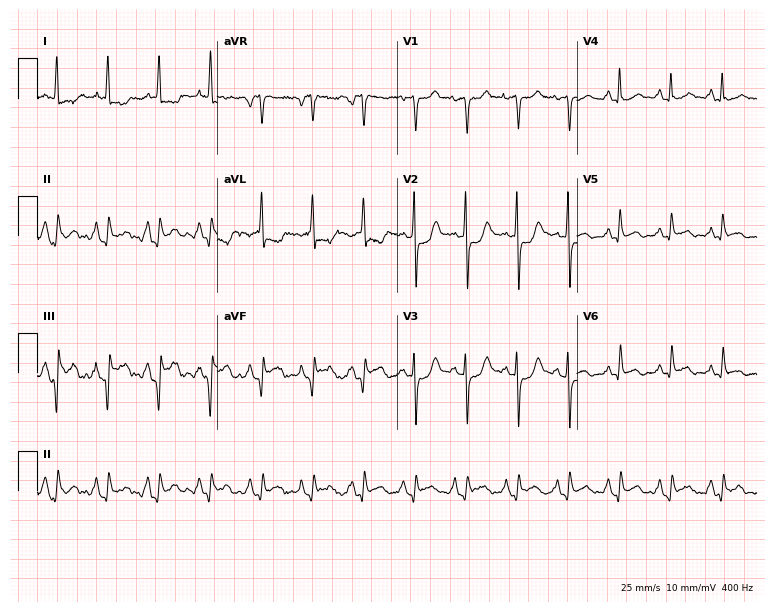
Standard 12-lead ECG recorded from an 82-year-old woman (7.3-second recording at 400 Hz). None of these six findings is recorded: first-degree AV block, right bundle branch block (RBBB), left bundle branch block (LBBB), sinus bradycardia, atrial fibrillation (AF), sinus tachycardia.